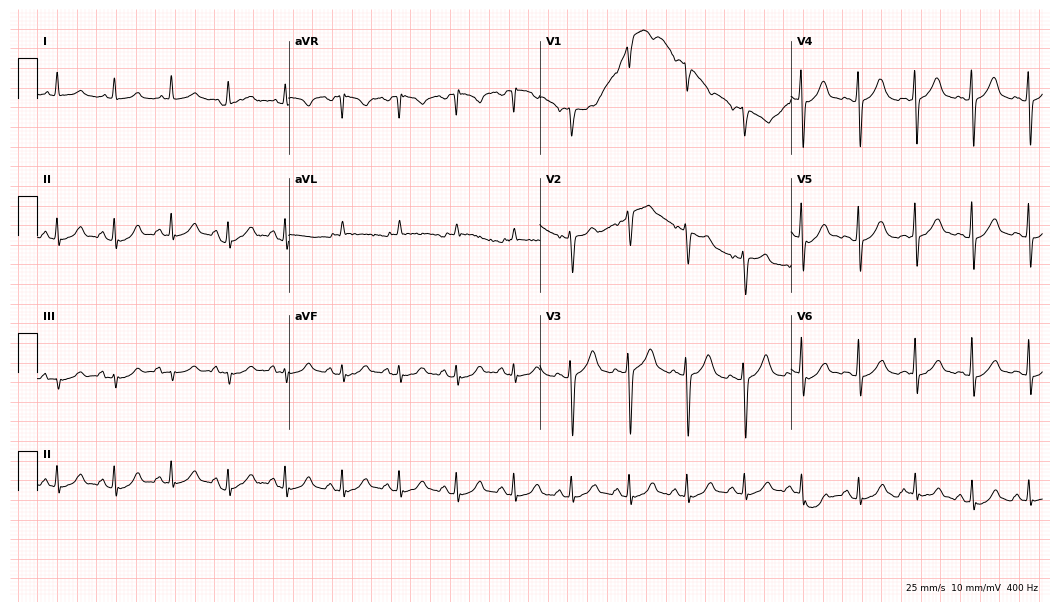
12-lead ECG (10.2-second recording at 400 Hz) from a 31-year-old male. Labelled as a normal ECG.